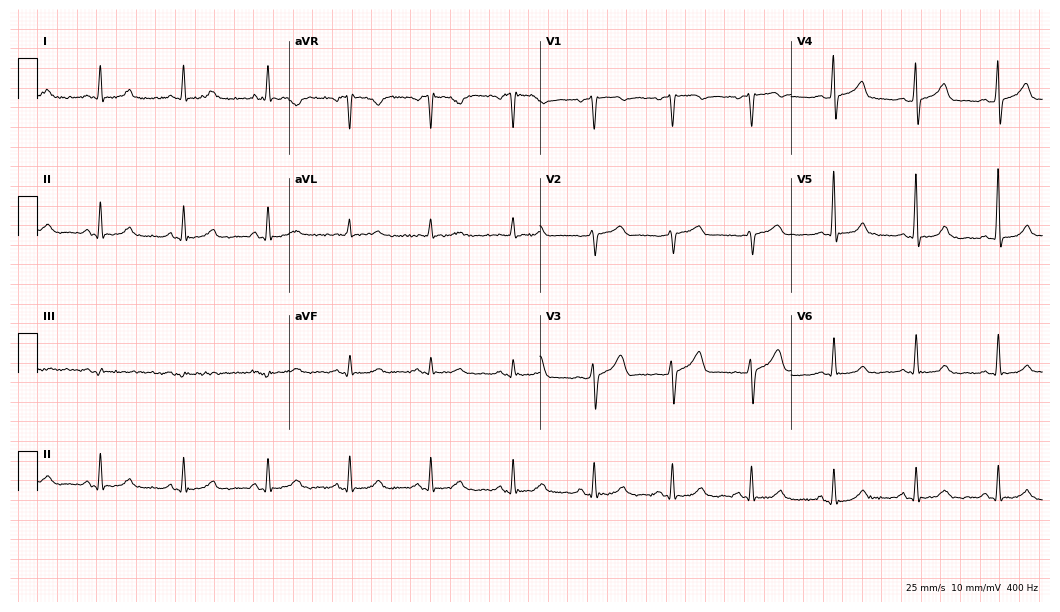
Standard 12-lead ECG recorded from a 57-year-old female (10.2-second recording at 400 Hz). Read as a normal ECG.